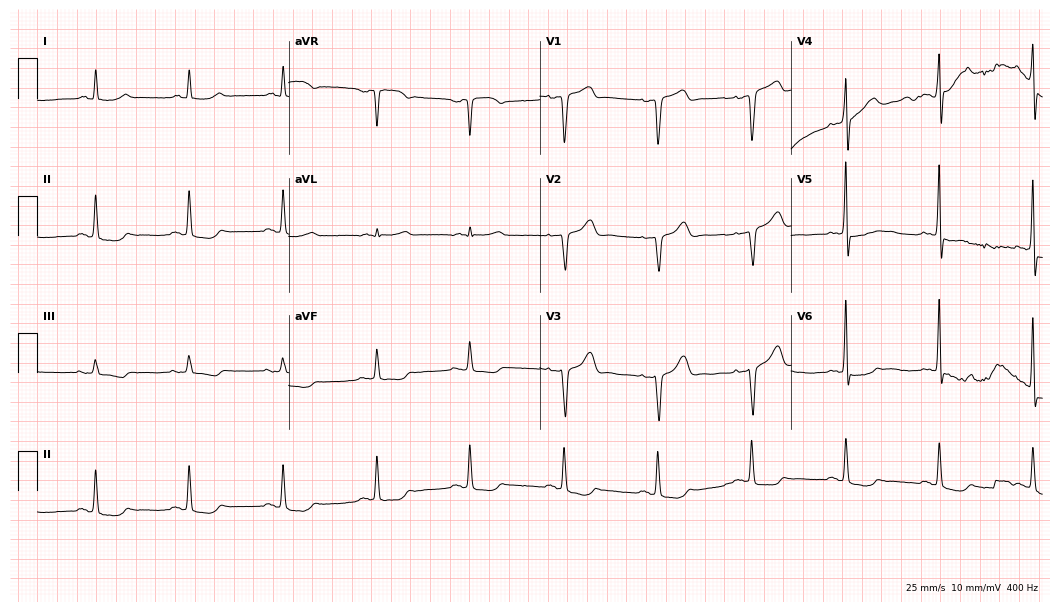
12-lead ECG from a male patient, 77 years old (10.2-second recording at 400 Hz). No first-degree AV block, right bundle branch block, left bundle branch block, sinus bradycardia, atrial fibrillation or sinus tachycardia recorded for this tracing.